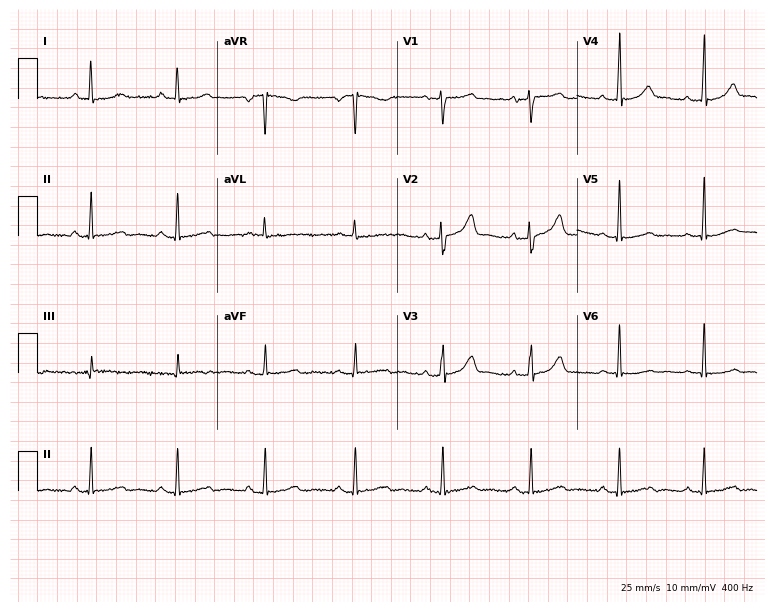
Standard 12-lead ECG recorded from a 39-year-old female (7.3-second recording at 400 Hz). None of these six findings is recorded: first-degree AV block, right bundle branch block (RBBB), left bundle branch block (LBBB), sinus bradycardia, atrial fibrillation (AF), sinus tachycardia. Only these six findings were labelled.